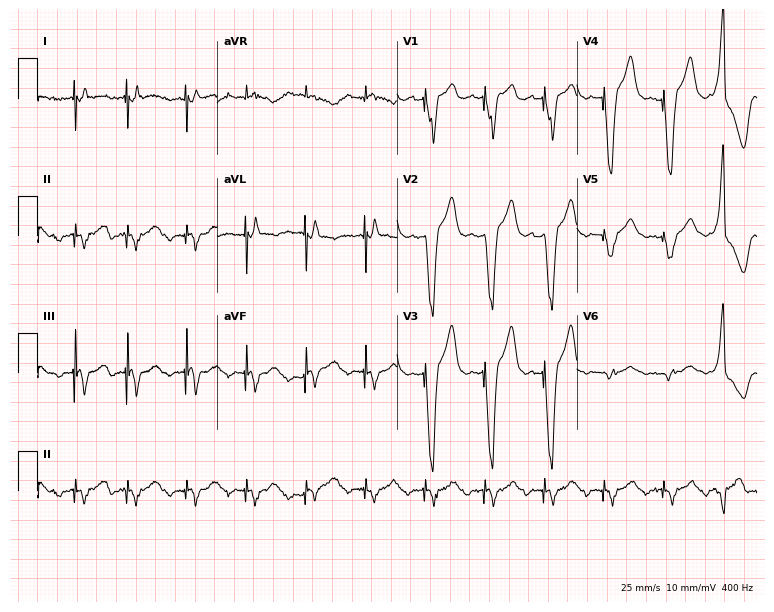
Electrocardiogram, a male, 84 years old. Of the six screened findings (first-degree AV block, right bundle branch block, left bundle branch block, sinus bradycardia, atrial fibrillation, sinus tachycardia), none is recorded.